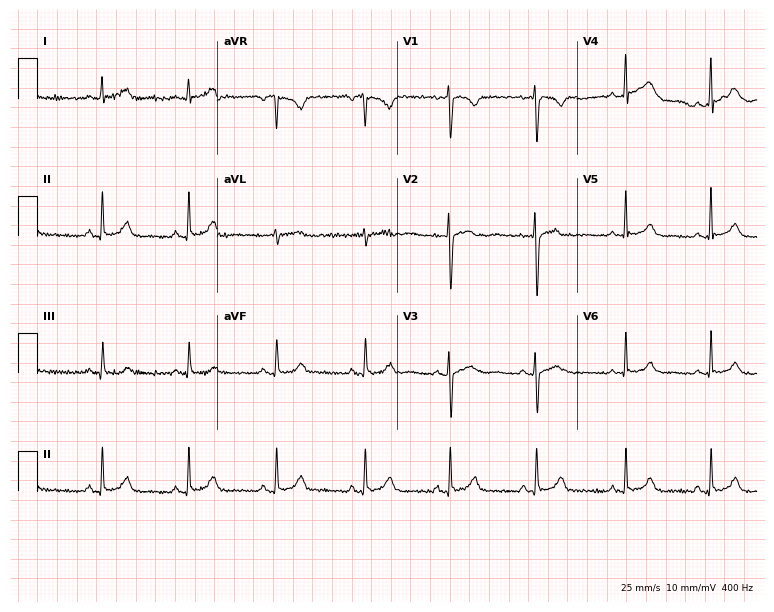
12-lead ECG (7.3-second recording at 400 Hz) from a female patient, 40 years old. Labelled as a normal ECG.